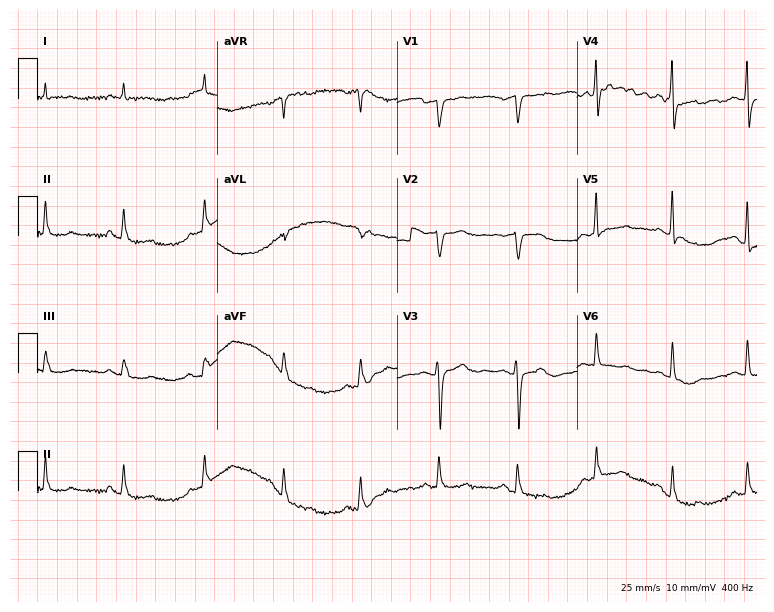
12-lead ECG from a female, 57 years old. Screened for six findings — first-degree AV block, right bundle branch block, left bundle branch block, sinus bradycardia, atrial fibrillation, sinus tachycardia — none is recorded.